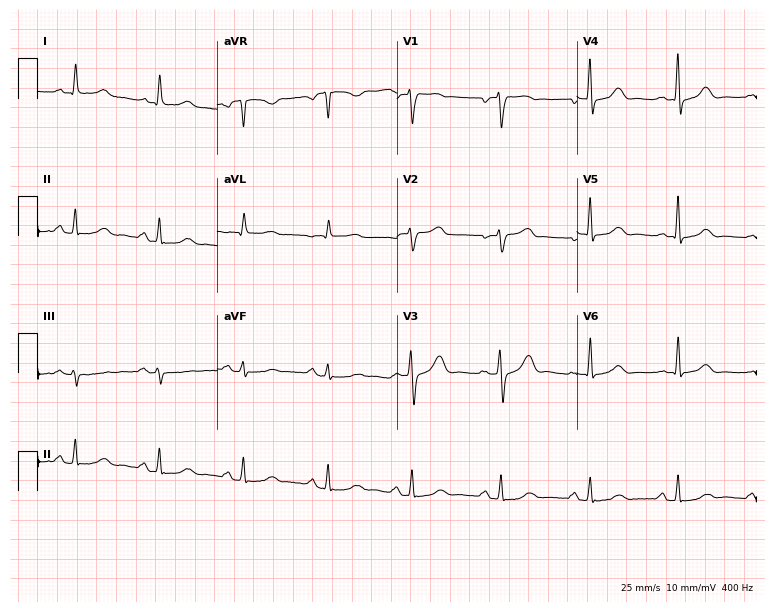
12-lead ECG from a 50-year-old female patient. Screened for six findings — first-degree AV block, right bundle branch block, left bundle branch block, sinus bradycardia, atrial fibrillation, sinus tachycardia — none is recorded.